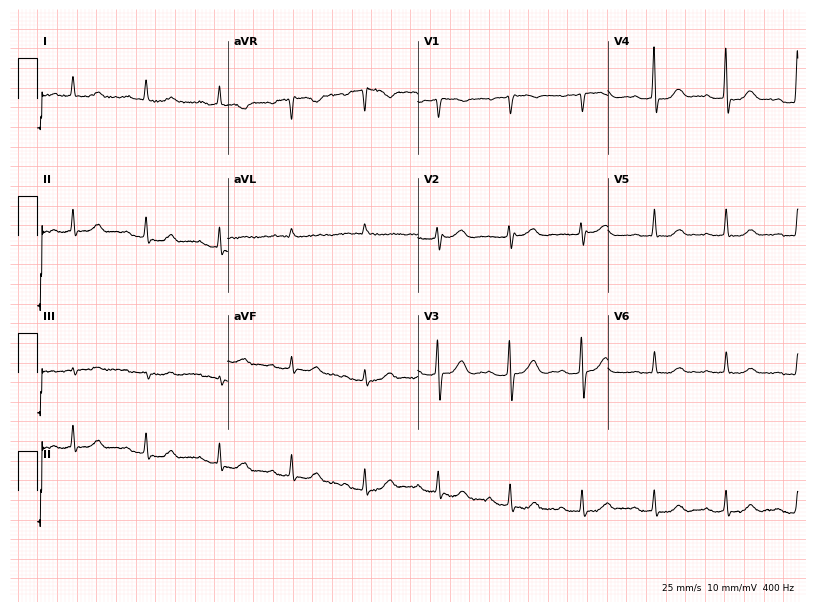
12-lead ECG from a woman, 72 years old. Shows first-degree AV block.